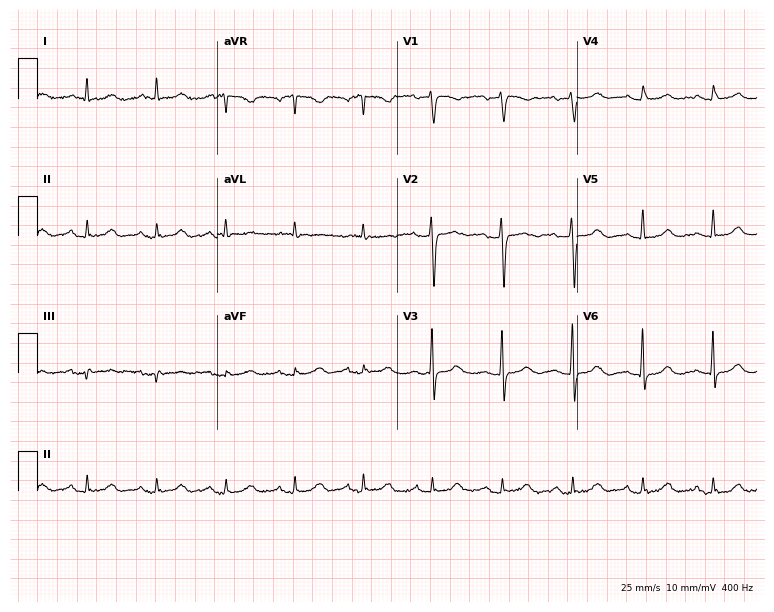
Resting 12-lead electrocardiogram. Patient: a 75-year-old female. None of these six findings is recorded: first-degree AV block, right bundle branch block, left bundle branch block, sinus bradycardia, atrial fibrillation, sinus tachycardia.